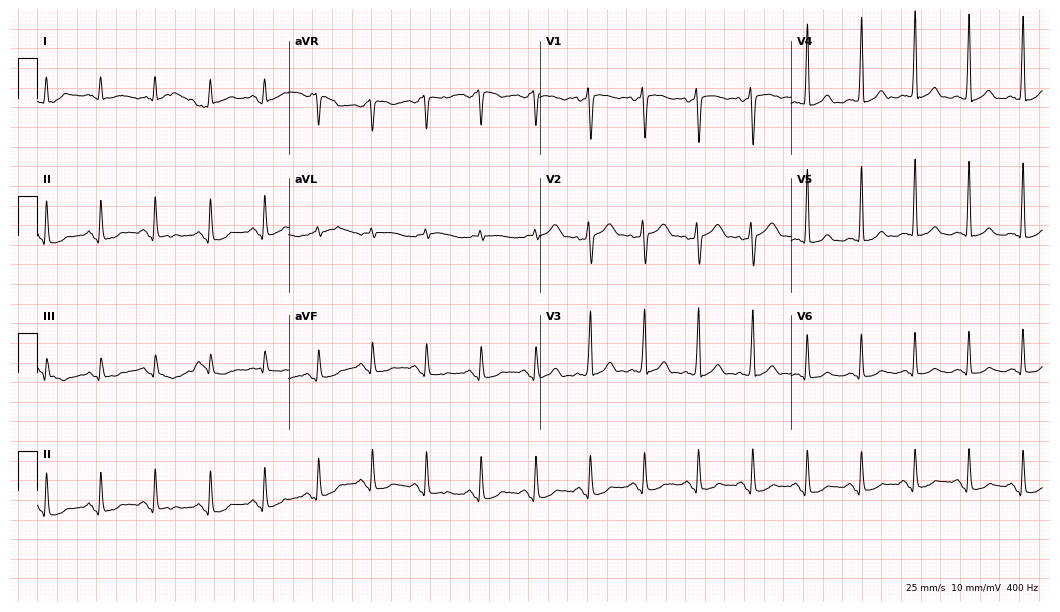
Resting 12-lead electrocardiogram (10.2-second recording at 400 Hz). Patient: a 36-year-old male. The tracing shows sinus tachycardia (a sinus rate of 100 beats per minute or more).